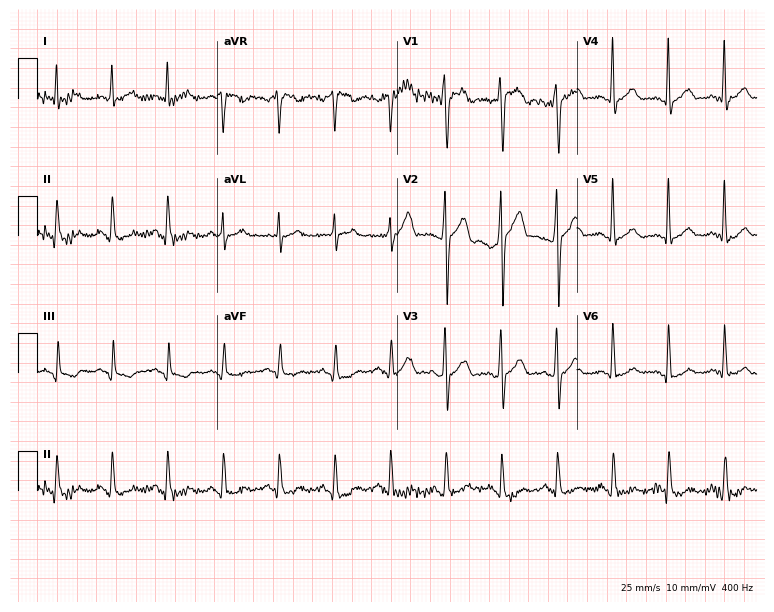
Electrocardiogram (7.3-second recording at 400 Hz), a male, 47 years old. Interpretation includes sinus tachycardia (a sinus rate of 100 beats per minute or more).